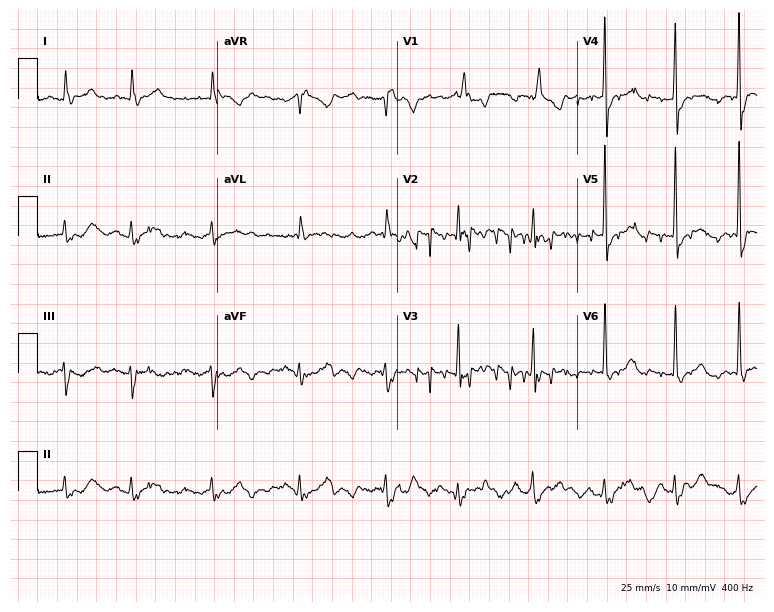
ECG — a male patient, 64 years old. Screened for six findings — first-degree AV block, right bundle branch block, left bundle branch block, sinus bradycardia, atrial fibrillation, sinus tachycardia — none is recorded. Only these six findings were labelled.